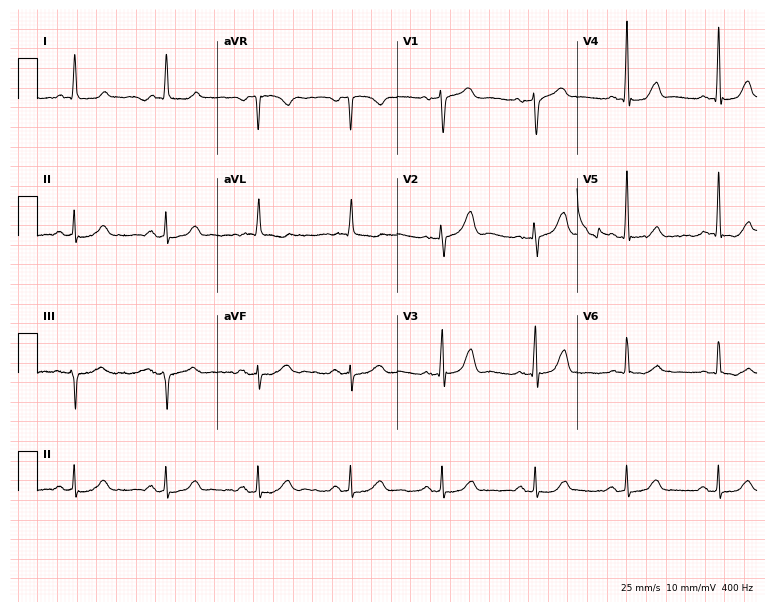
Electrocardiogram (7.3-second recording at 400 Hz), a 73-year-old female. Overall reading on record: normal ECG.